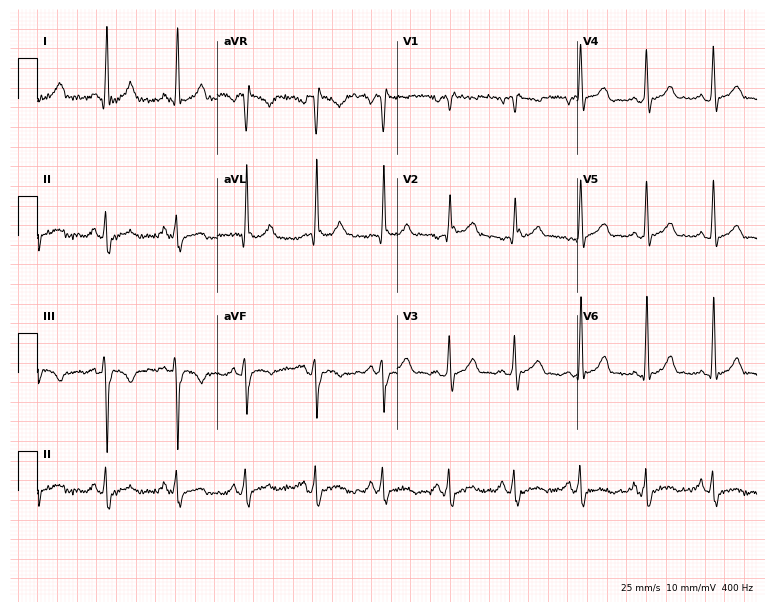
12-lead ECG from a 31-year-old male. Screened for six findings — first-degree AV block, right bundle branch block, left bundle branch block, sinus bradycardia, atrial fibrillation, sinus tachycardia — none is recorded. Only these six findings were labelled.